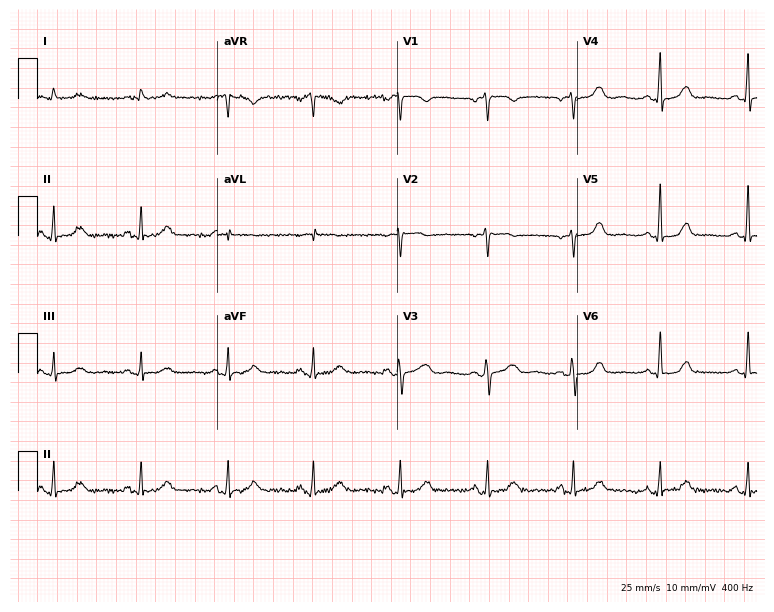
Standard 12-lead ECG recorded from a 50-year-old female. None of these six findings is recorded: first-degree AV block, right bundle branch block, left bundle branch block, sinus bradycardia, atrial fibrillation, sinus tachycardia.